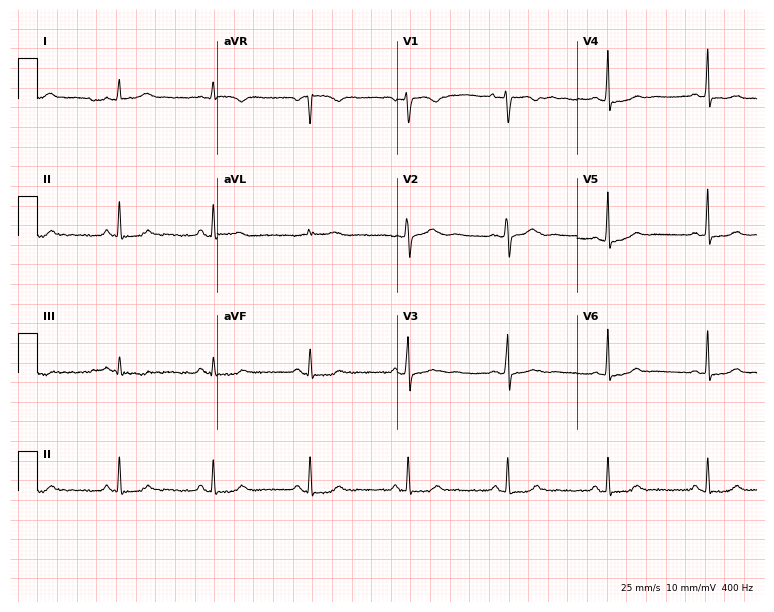
Standard 12-lead ECG recorded from a female patient, 35 years old. None of these six findings is recorded: first-degree AV block, right bundle branch block, left bundle branch block, sinus bradycardia, atrial fibrillation, sinus tachycardia. Findings outside these six are not listed.